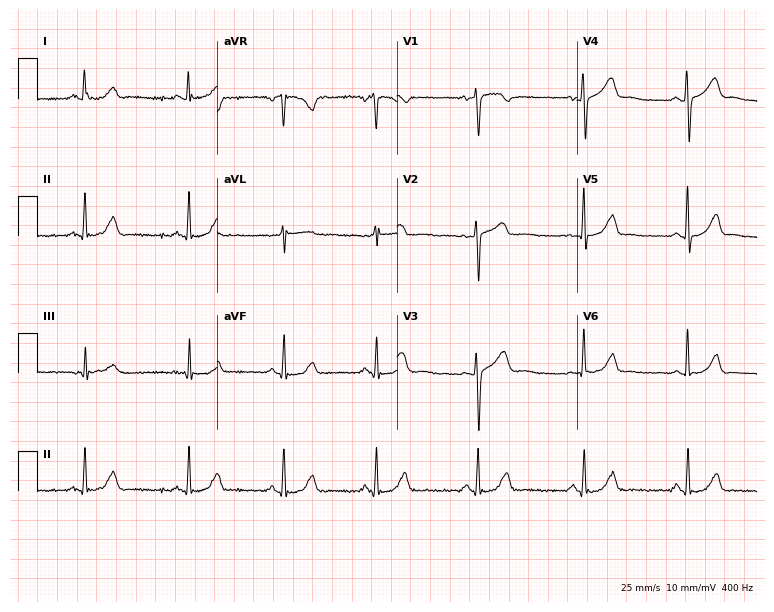
Resting 12-lead electrocardiogram (7.3-second recording at 400 Hz). Patient: a 50-year-old female. Read as a normal ECG.